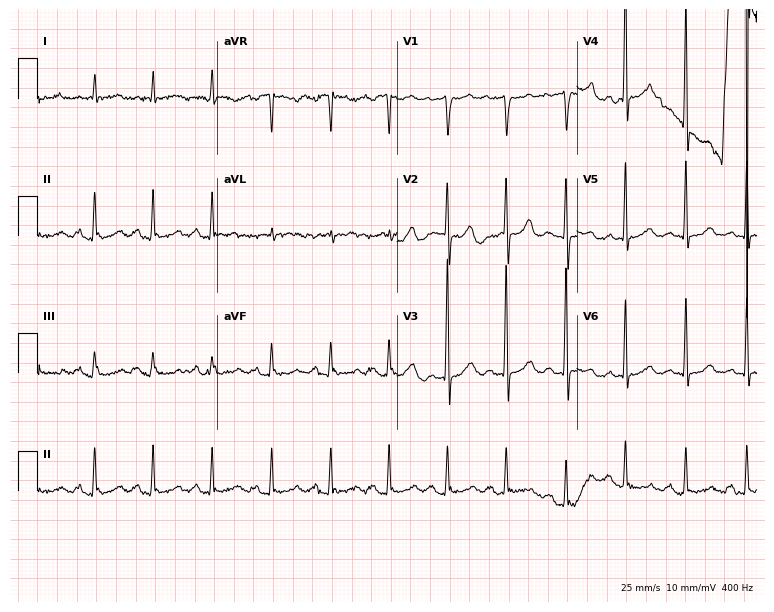
12-lead ECG from a male patient, 53 years old (7.3-second recording at 400 Hz). Recorded interpretation: within normal limits.